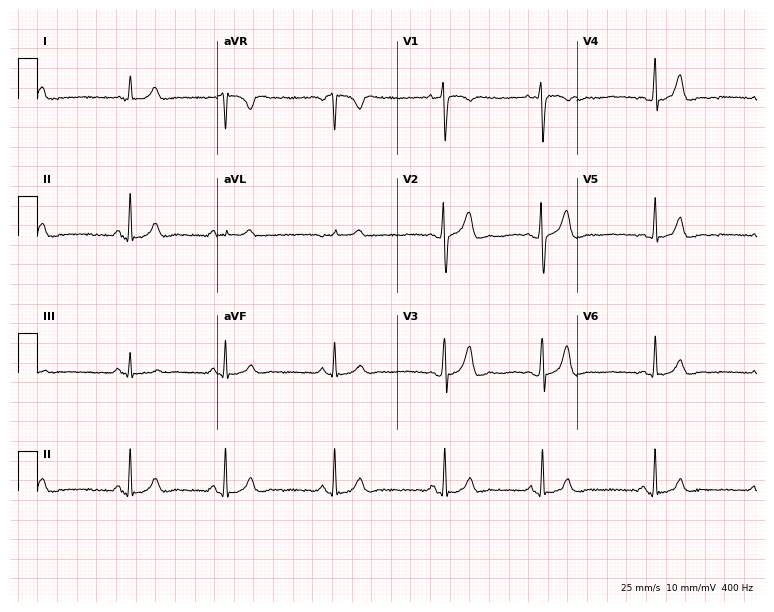
ECG (7.3-second recording at 400 Hz) — a female, 28 years old. Labelled as a normal ECG.